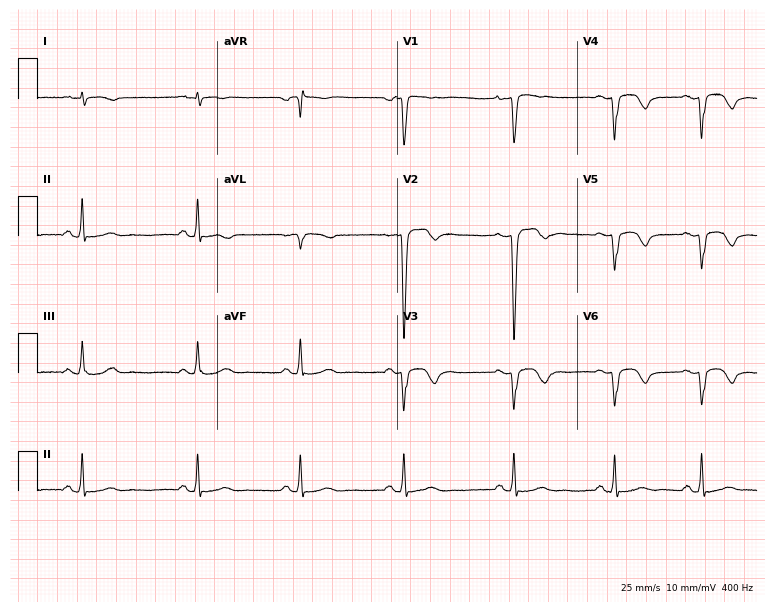
ECG — a man, 35 years old. Screened for six findings — first-degree AV block, right bundle branch block, left bundle branch block, sinus bradycardia, atrial fibrillation, sinus tachycardia — none is recorded. Other findings, if any, are not listed.